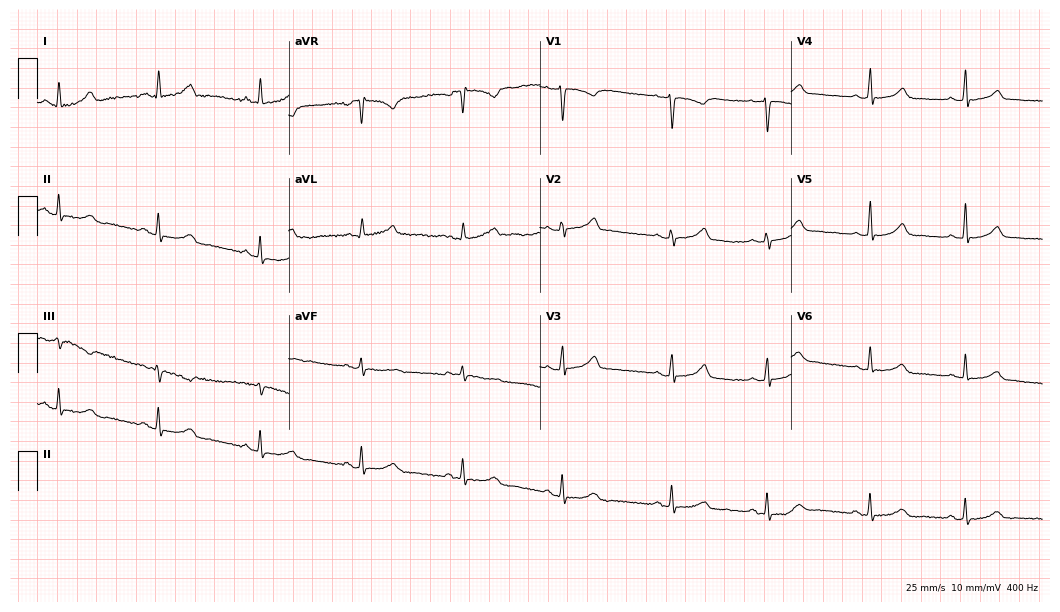
12-lead ECG from a female, 32 years old. Recorded interpretation: within normal limits.